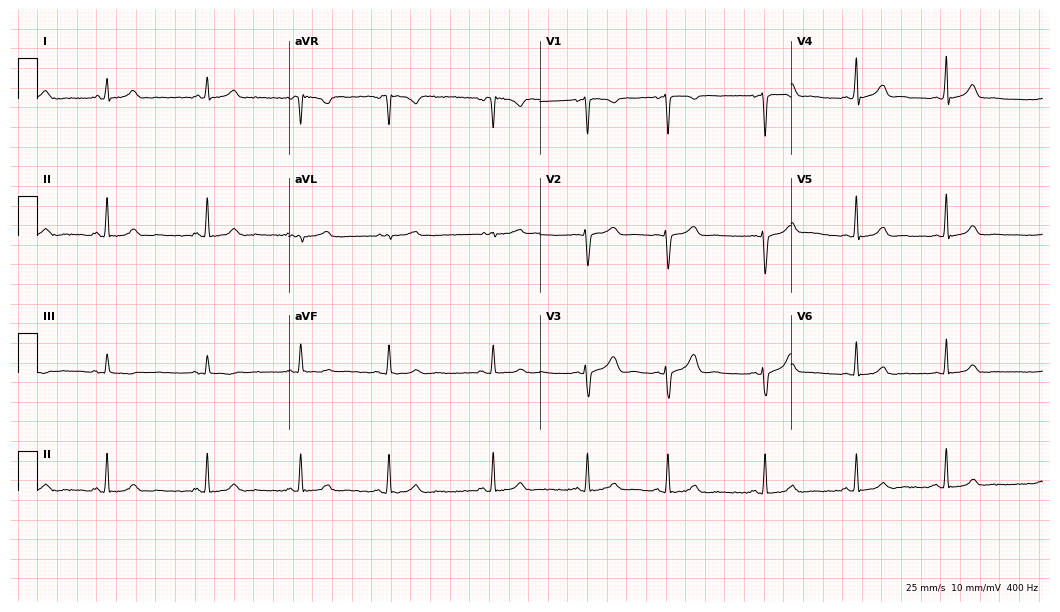
Standard 12-lead ECG recorded from a 24-year-old female patient (10.2-second recording at 400 Hz). Read as a normal ECG.